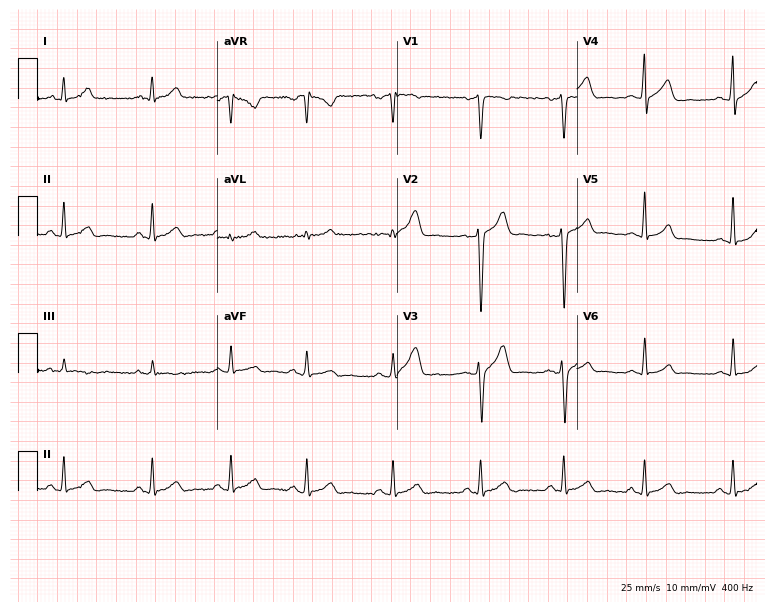
Resting 12-lead electrocardiogram (7.3-second recording at 400 Hz). Patient: a 29-year-old man. None of these six findings is recorded: first-degree AV block, right bundle branch block, left bundle branch block, sinus bradycardia, atrial fibrillation, sinus tachycardia.